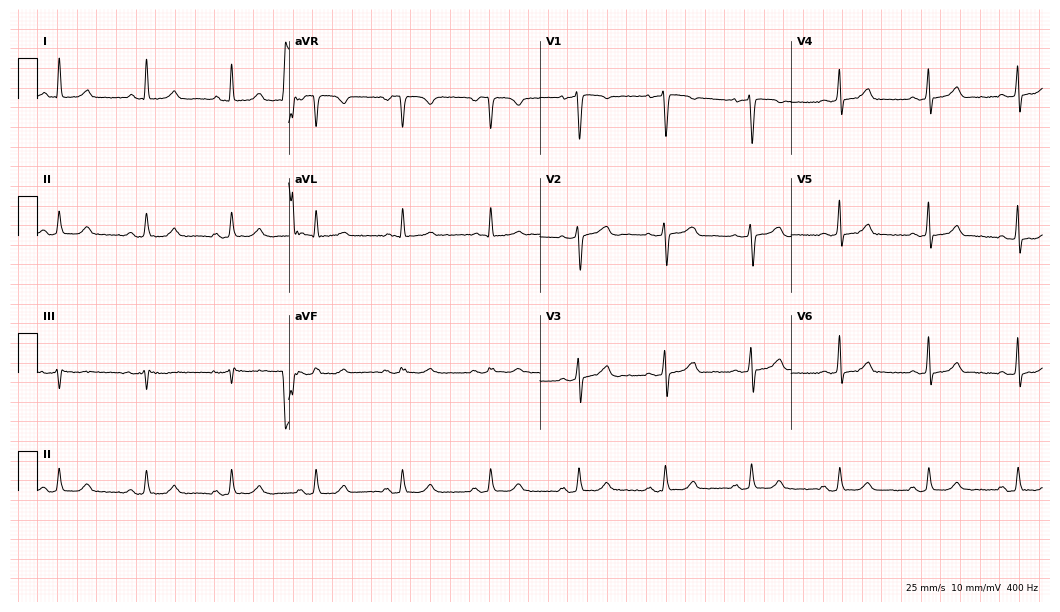
Electrocardiogram (10.2-second recording at 400 Hz), a 55-year-old female patient. Overall reading on record: normal ECG.